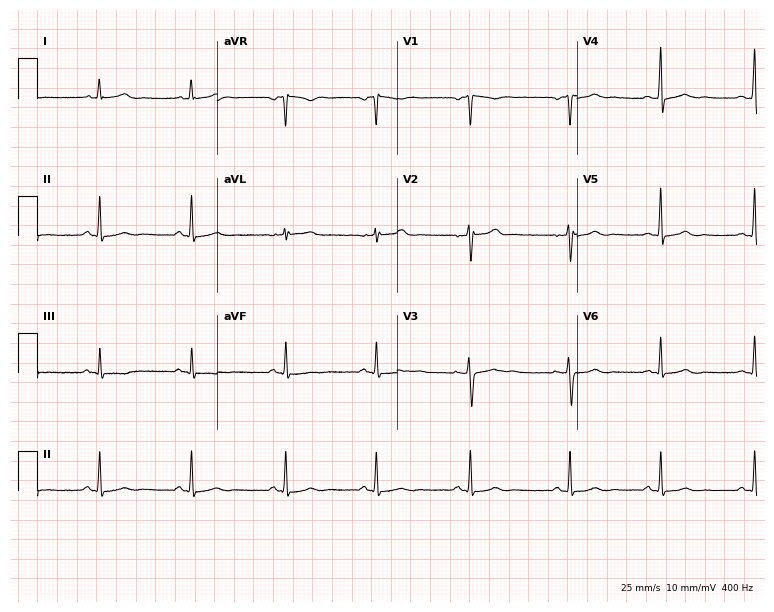
12-lead ECG from a 31-year-old female (7.3-second recording at 400 Hz). No first-degree AV block, right bundle branch block, left bundle branch block, sinus bradycardia, atrial fibrillation or sinus tachycardia recorded for this tracing.